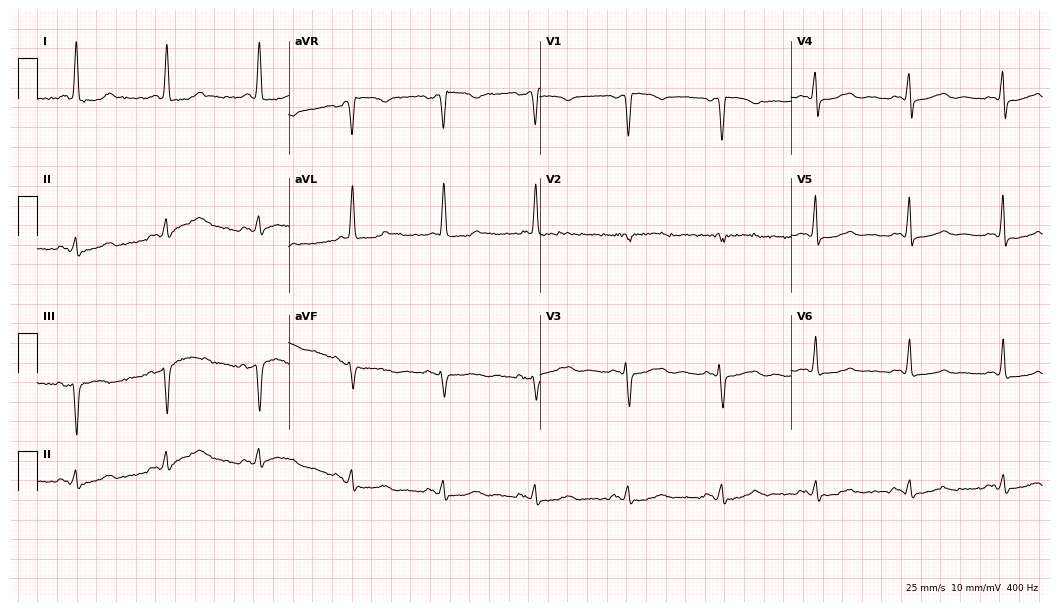
12-lead ECG from a 73-year-old woman. Screened for six findings — first-degree AV block, right bundle branch block, left bundle branch block, sinus bradycardia, atrial fibrillation, sinus tachycardia — none is recorded. Findings outside these six are not listed.